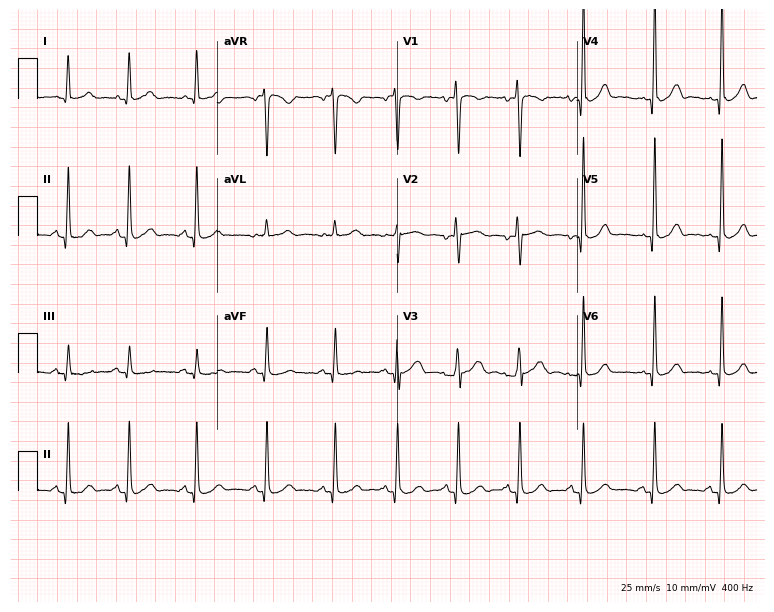
ECG — a female patient, 32 years old. Labelled as a normal ECG.